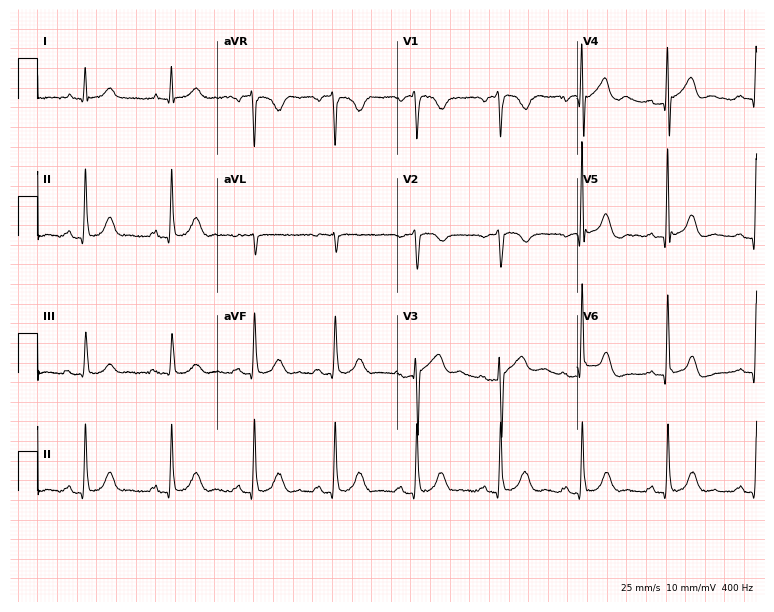
Resting 12-lead electrocardiogram. Patient: a 74-year-old man. None of these six findings is recorded: first-degree AV block, right bundle branch block (RBBB), left bundle branch block (LBBB), sinus bradycardia, atrial fibrillation (AF), sinus tachycardia. Only these six findings were labelled.